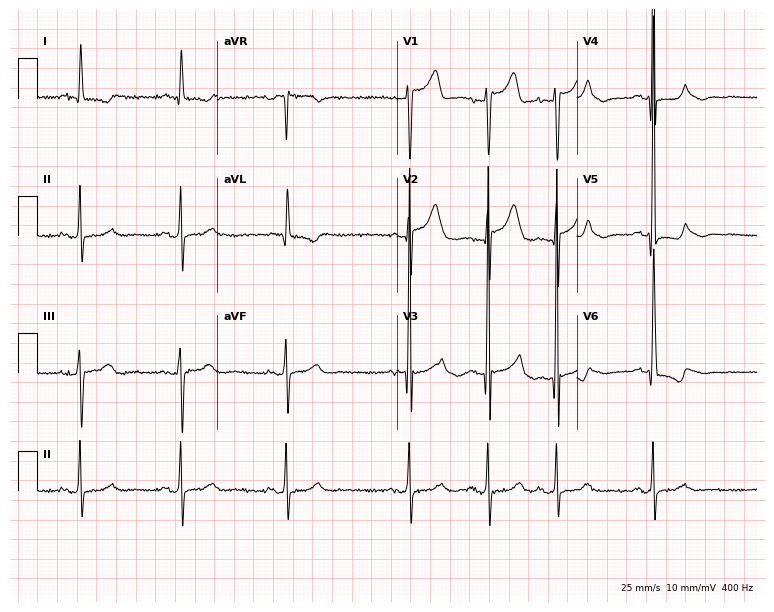
ECG (7.3-second recording at 400 Hz) — an 81-year-old man. Screened for six findings — first-degree AV block, right bundle branch block, left bundle branch block, sinus bradycardia, atrial fibrillation, sinus tachycardia — none is recorded.